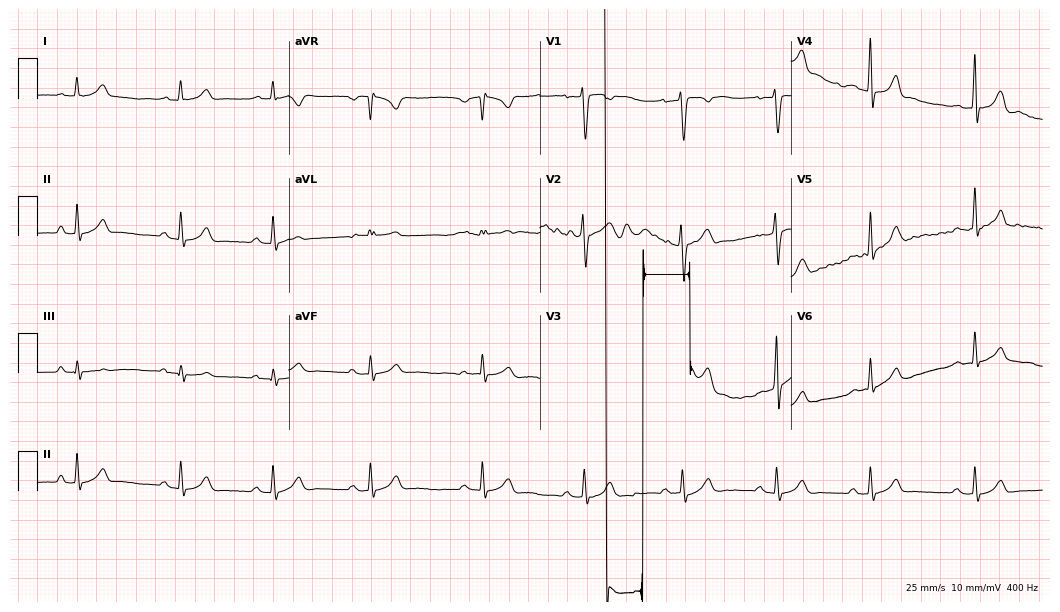
Electrocardiogram, a 21-year-old man. Of the six screened findings (first-degree AV block, right bundle branch block (RBBB), left bundle branch block (LBBB), sinus bradycardia, atrial fibrillation (AF), sinus tachycardia), none is recorded. Only these six findings were labelled.